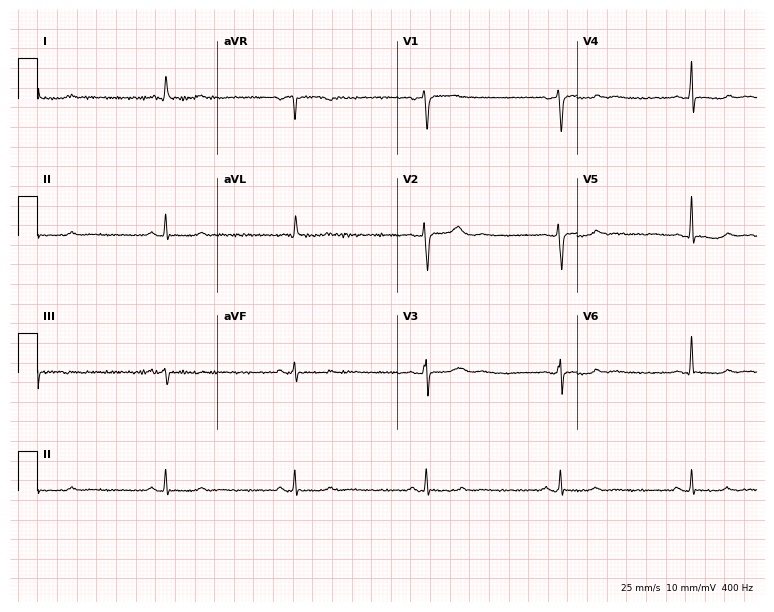
Resting 12-lead electrocardiogram (7.3-second recording at 400 Hz). Patient: a female, 72 years old. The tracing shows sinus bradycardia (a sinus rate of 50 beats per minute or less).